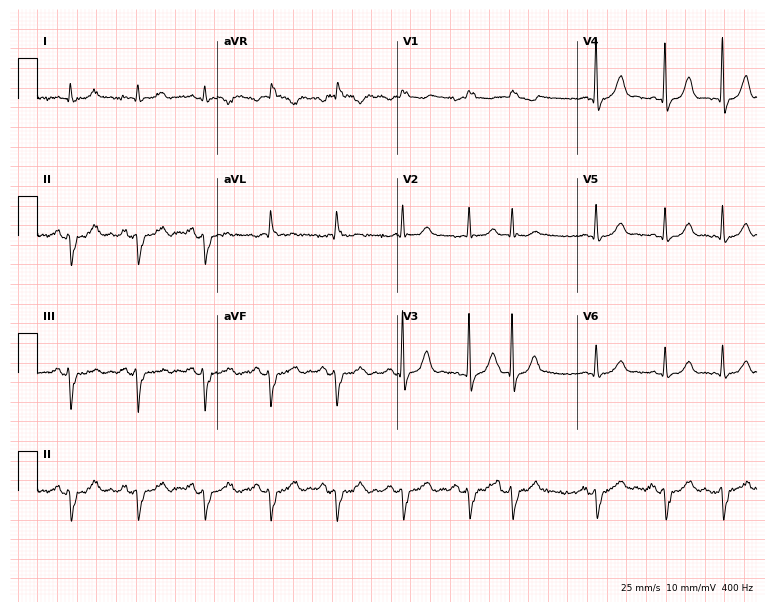
12-lead ECG (7.3-second recording at 400 Hz) from a man, 74 years old. Screened for six findings — first-degree AV block, right bundle branch block, left bundle branch block, sinus bradycardia, atrial fibrillation, sinus tachycardia — none is recorded. Other findings, if any, are not listed.